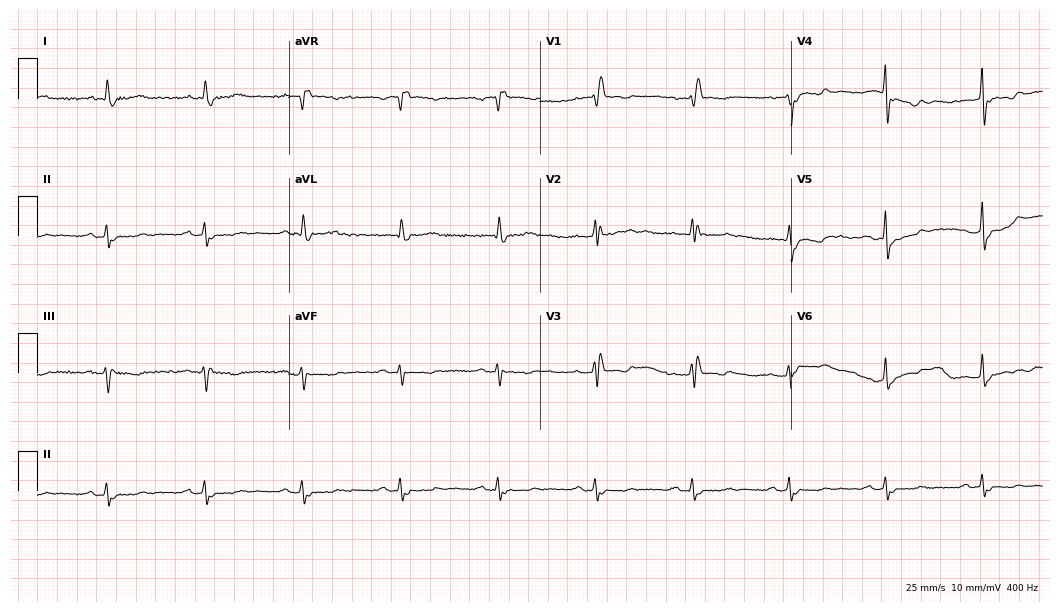
ECG (10.2-second recording at 400 Hz) — a male, 75 years old. Screened for six findings — first-degree AV block, right bundle branch block, left bundle branch block, sinus bradycardia, atrial fibrillation, sinus tachycardia — none is recorded.